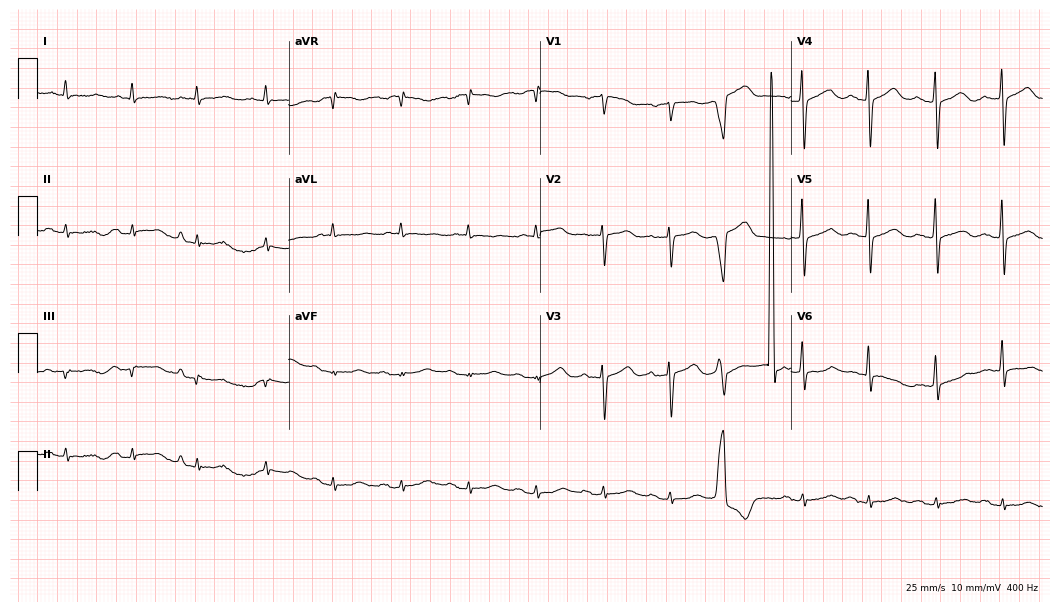
12-lead ECG (10.2-second recording at 400 Hz) from a 79-year-old woman. Screened for six findings — first-degree AV block, right bundle branch block, left bundle branch block, sinus bradycardia, atrial fibrillation, sinus tachycardia — none is recorded. Findings outside these six are not listed.